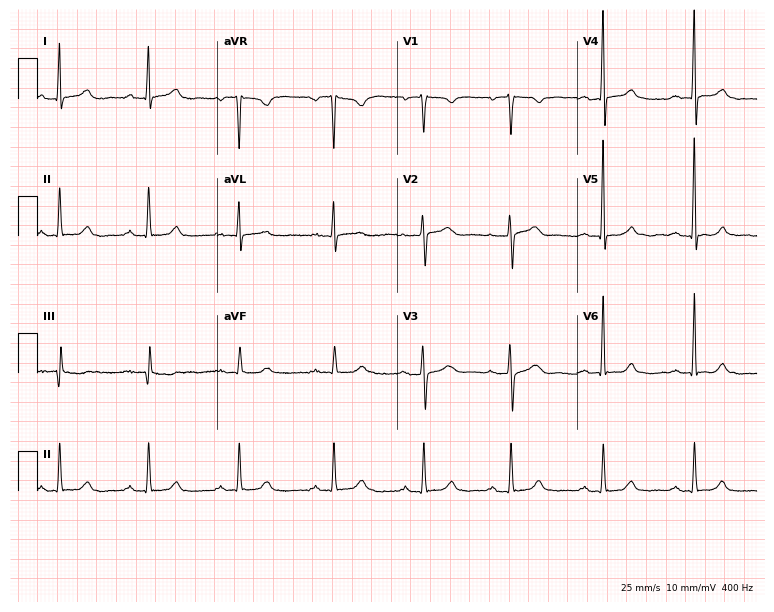
Standard 12-lead ECG recorded from a 65-year-old woman (7.3-second recording at 400 Hz). None of these six findings is recorded: first-degree AV block, right bundle branch block (RBBB), left bundle branch block (LBBB), sinus bradycardia, atrial fibrillation (AF), sinus tachycardia. Only these six findings were labelled.